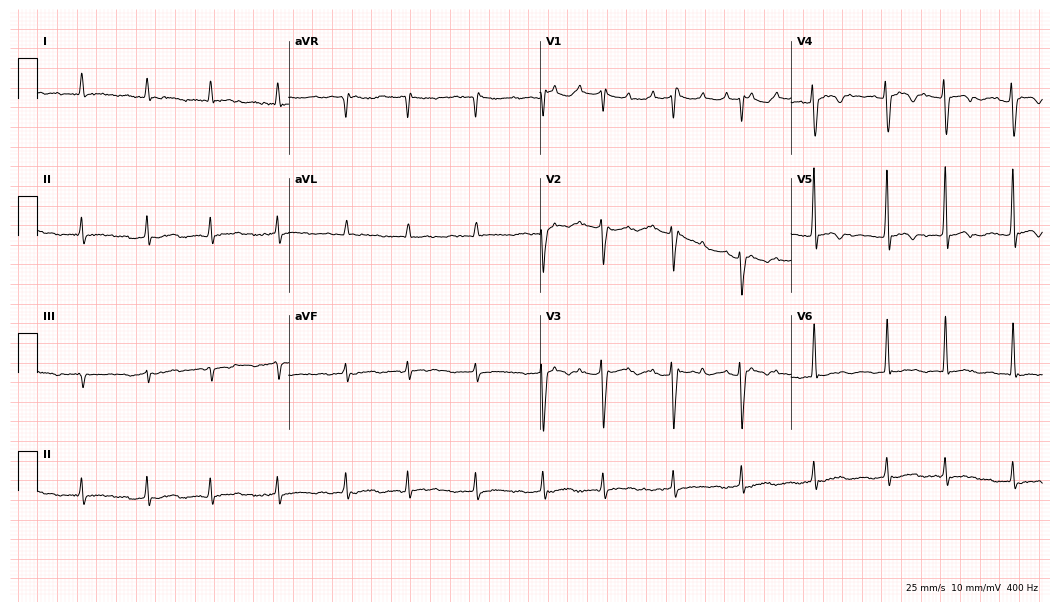
Resting 12-lead electrocardiogram. Patient: a woman, 75 years old. None of these six findings is recorded: first-degree AV block, right bundle branch block, left bundle branch block, sinus bradycardia, atrial fibrillation, sinus tachycardia. Findings outside these six are not listed.